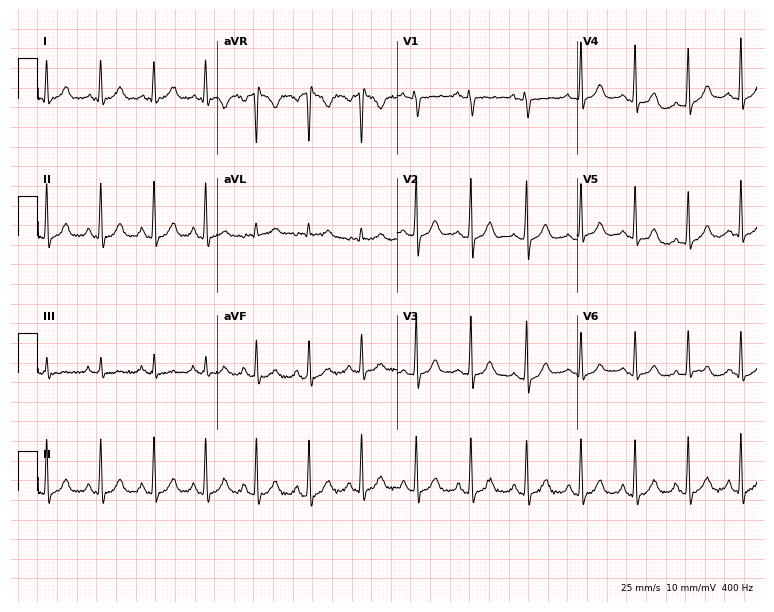
12-lead ECG (7.3-second recording at 400 Hz) from a 23-year-old female patient. Findings include sinus tachycardia (a sinus rate of 100 beats per minute or more).